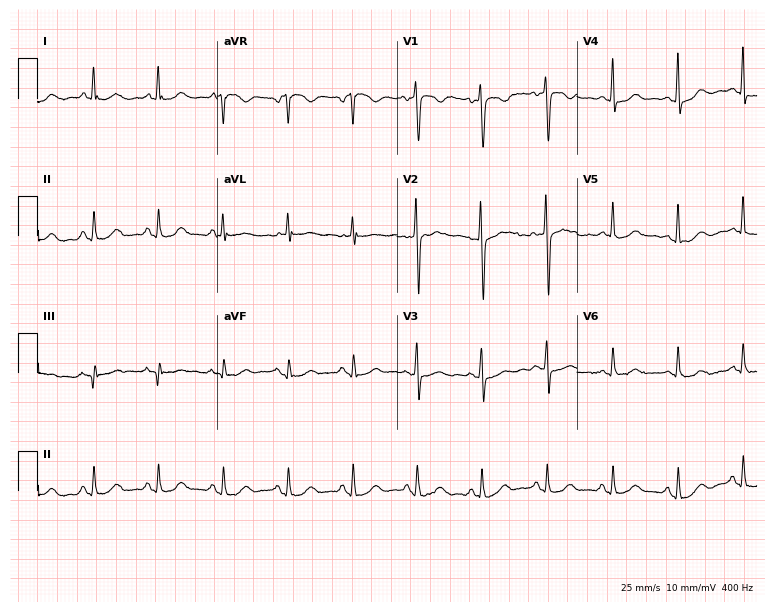
Resting 12-lead electrocardiogram. Patient: a woman, 61 years old. Read as a normal ECG.